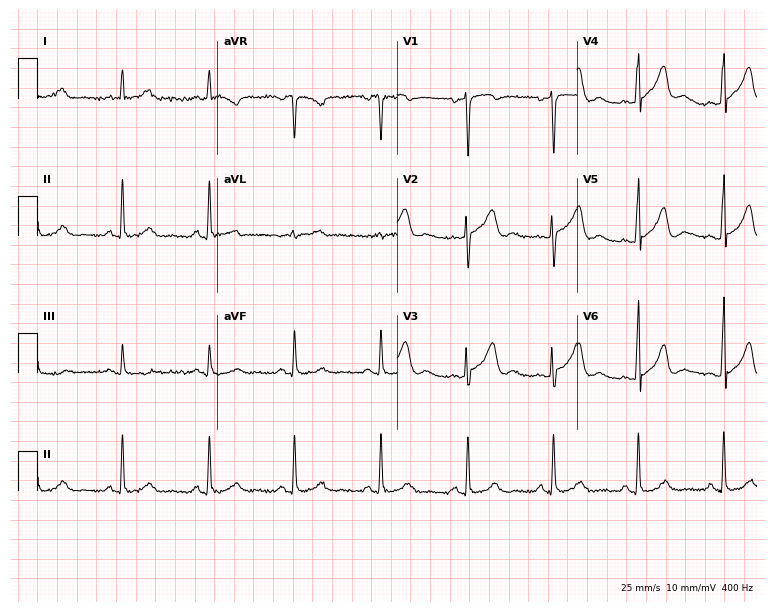
Electrocardiogram, a man, 48 years old. Of the six screened findings (first-degree AV block, right bundle branch block, left bundle branch block, sinus bradycardia, atrial fibrillation, sinus tachycardia), none is recorded.